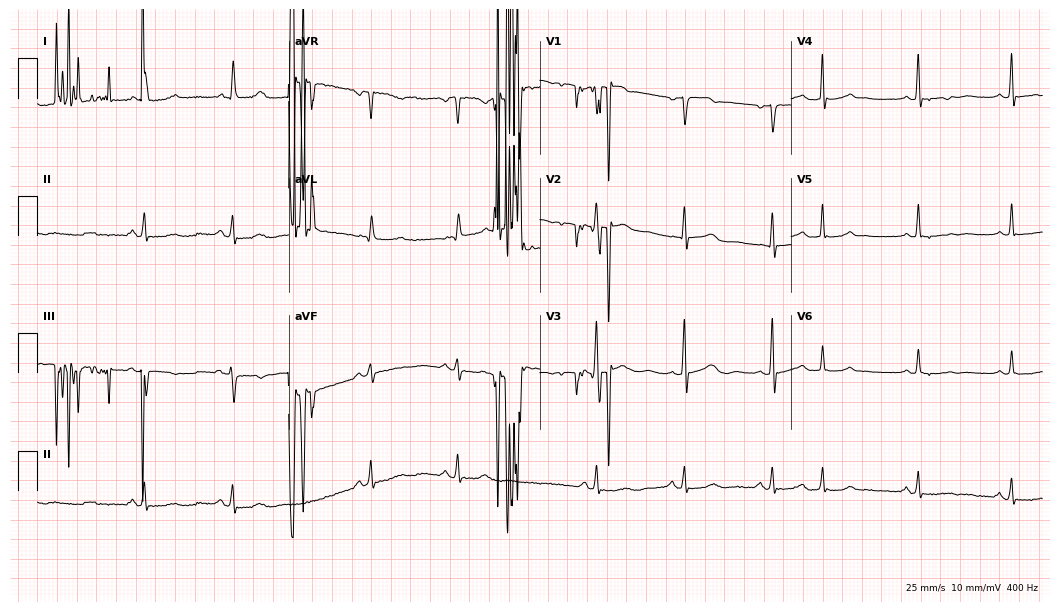
ECG — a man, 74 years old. Screened for six findings — first-degree AV block, right bundle branch block, left bundle branch block, sinus bradycardia, atrial fibrillation, sinus tachycardia — none is recorded. Other findings, if any, are not listed.